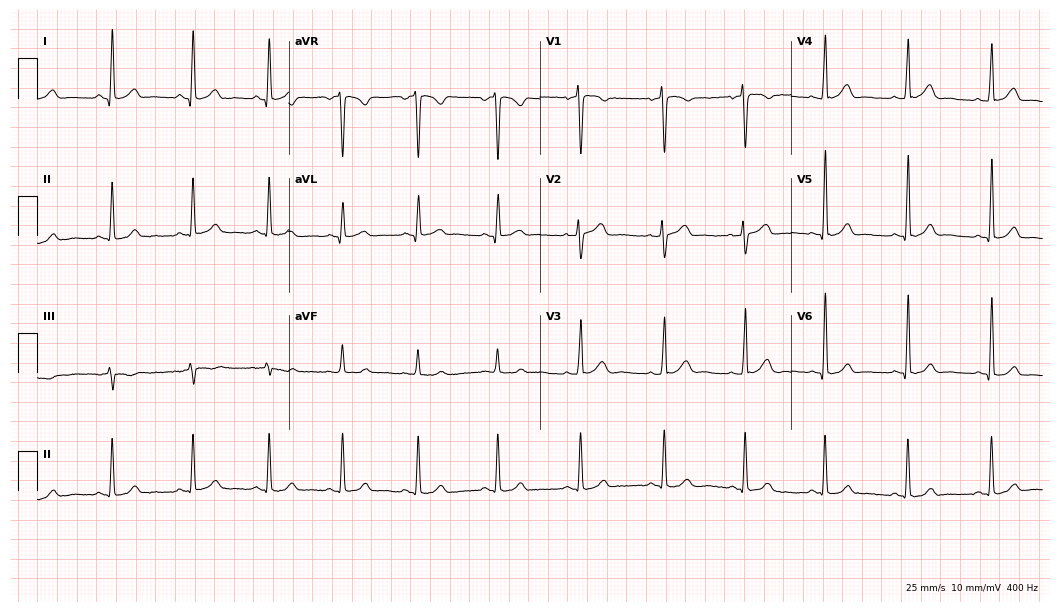
12-lead ECG from a woman, 24 years old. Screened for six findings — first-degree AV block, right bundle branch block, left bundle branch block, sinus bradycardia, atrial fibrillation, sinus tachycardia — none is recorded.